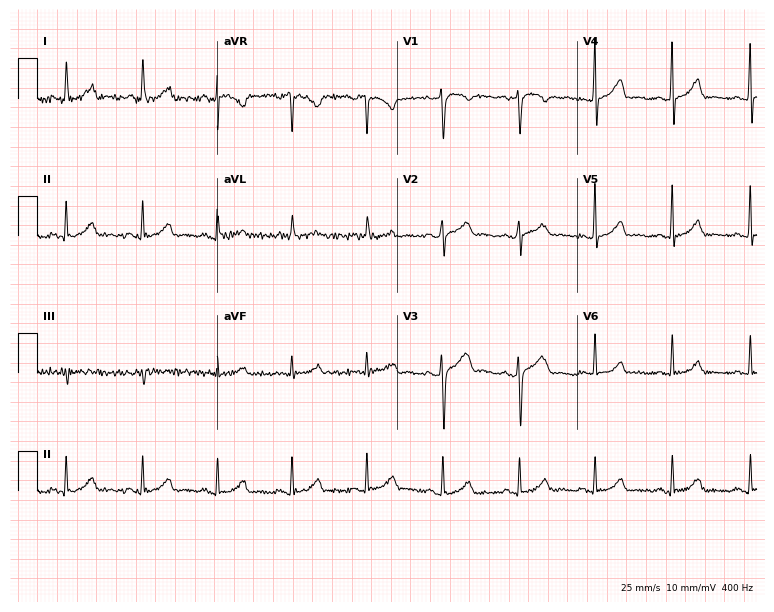
Standard 12-lead ECG recorded from a woman, 23 years old (7.3-second recording at 400 Hz). Read as a normal ECG.